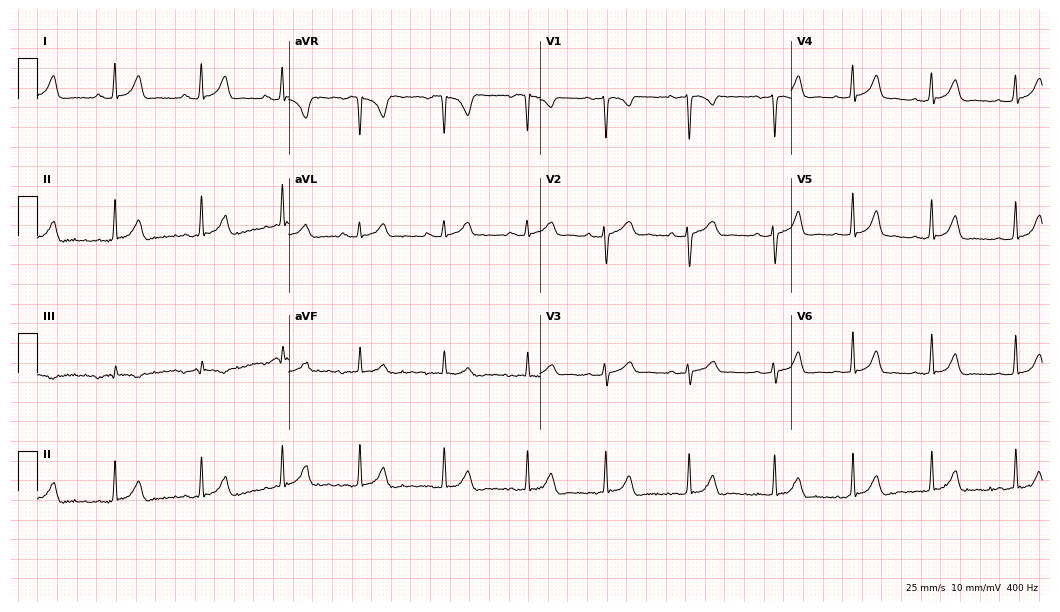
12-lead ECG from a female patient, 17 years old. Labelled as a normal ECG.